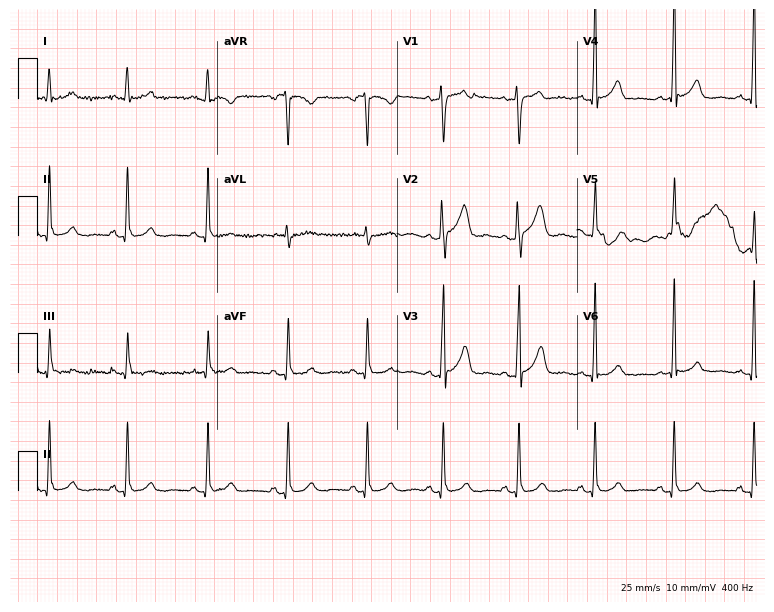
ECG — a male, 46 years old. Labelled as a normal ECG.